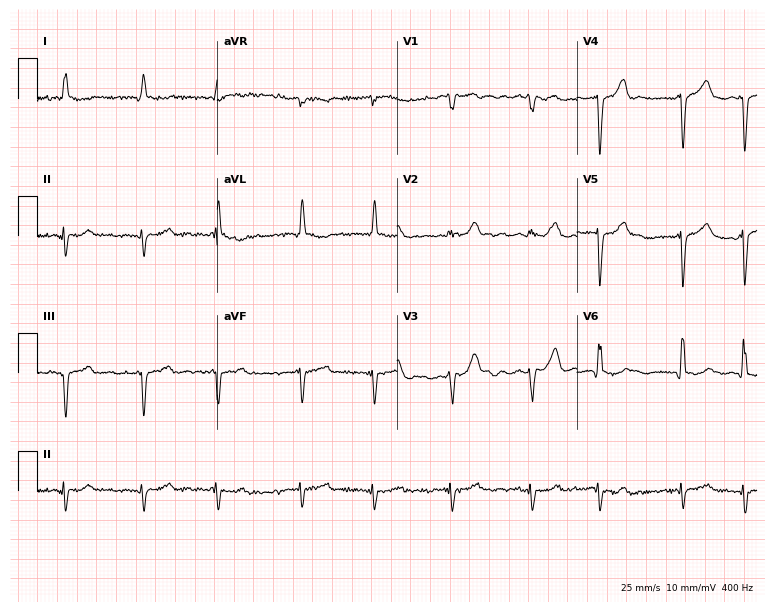
Electrocardiogram, a male patient, 86 years old. Of the six screened findings (first-degree AV block, right bundle branch block, left bundle branch block, sinus bradycardia, atrial fibrillation, sinus tachycardia), none is recorded. Other findings, if any, are not listed.